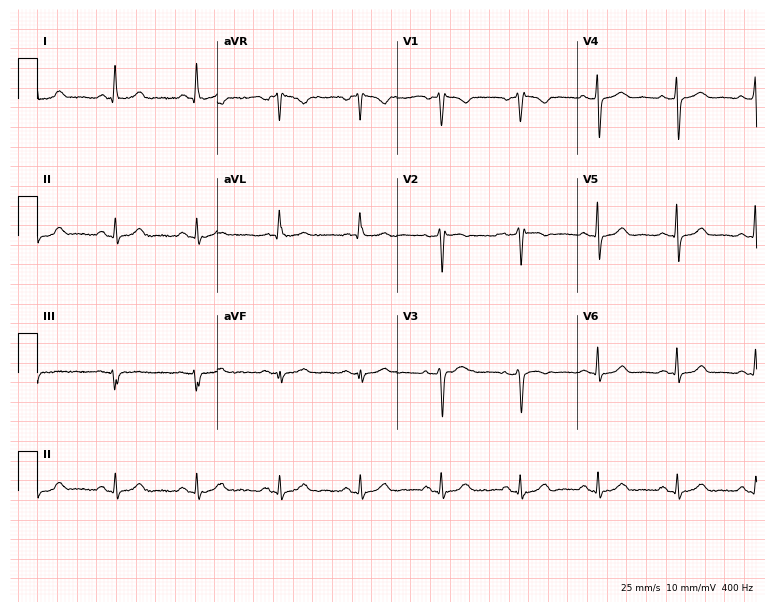
Resting 12-lead electrocardiogram (7.3-second recording at 400 Hz). Patient: a 54-year-old female. Read as a normal ECG.